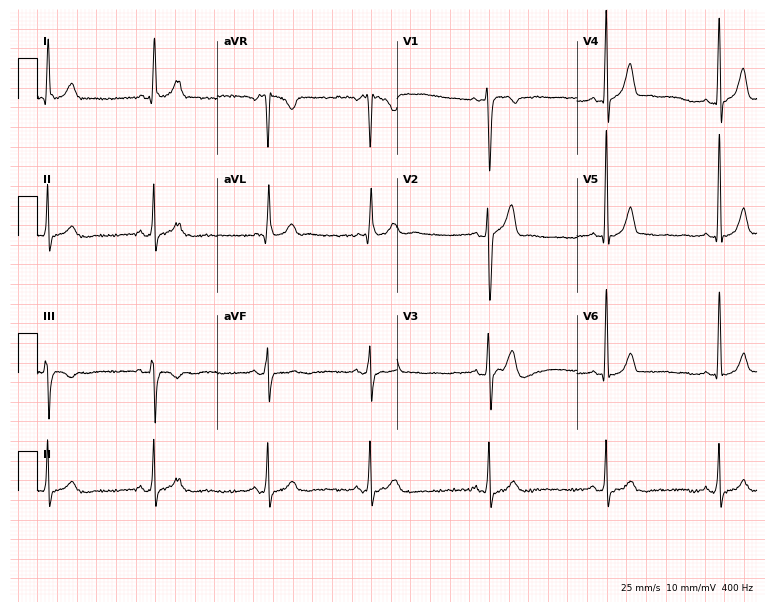
Resting 12-lead electrocardiogram (7.3-second recording at 400 Hz). Patient: a male, 27 years old. Read as a normal ECG.